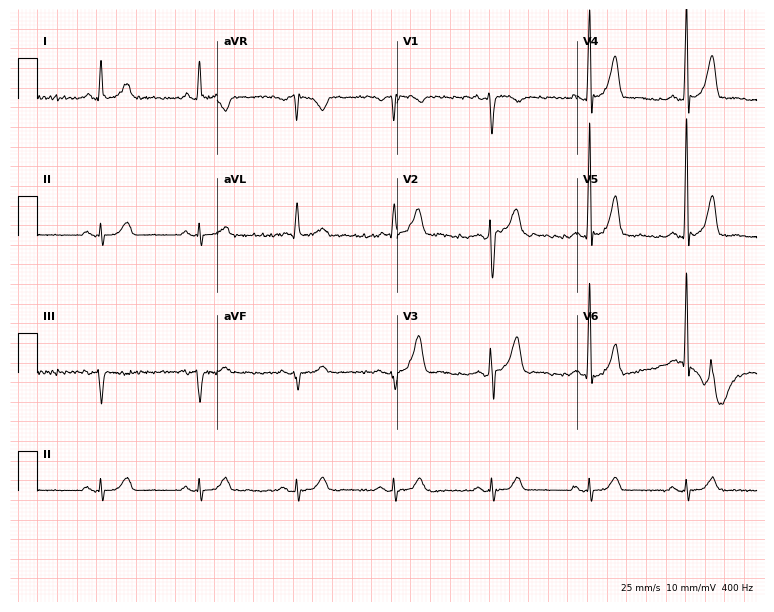
12-lead ECG from a 55-year-old female patient. Recorded interpretation: within normal limits.